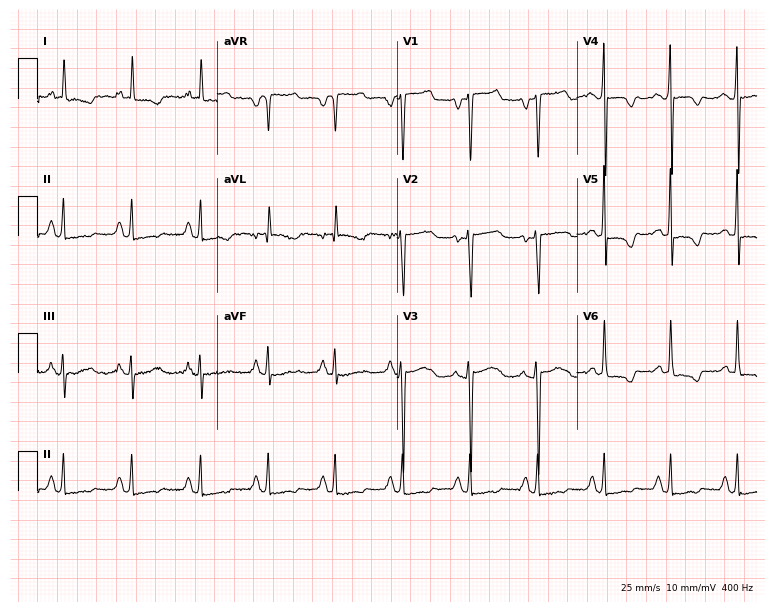
12-lead ECG from a 38-year-old female. No first-degree AV block, right bundle branch block, left bundle branch block, sinus bradycardia, atrial fibrillation or sinus tachycardia recorded for this tracing.